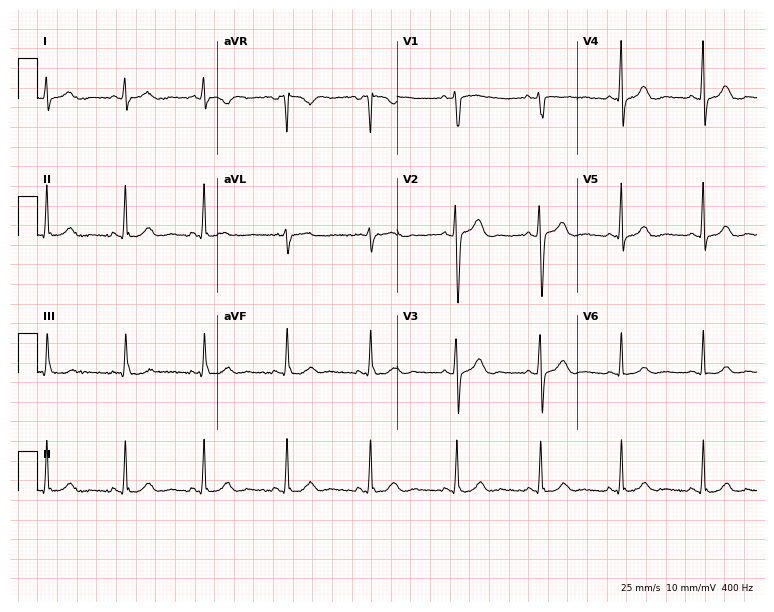
Standard 12-lead ECG recorded from a 43-year-old woman (7.3-second recording at 400 Hz). Read as a normal ECG.